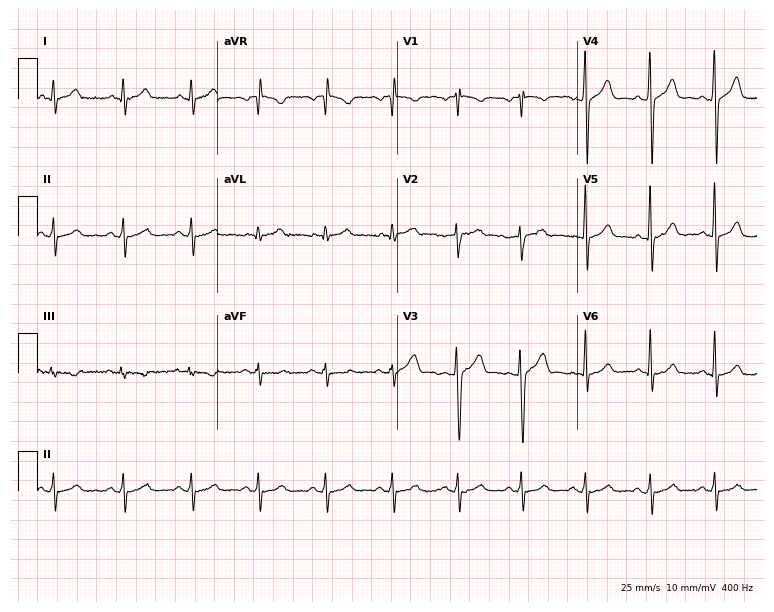
12-lead ECG from a man, 29 years old. Labelled as a normal ECG.